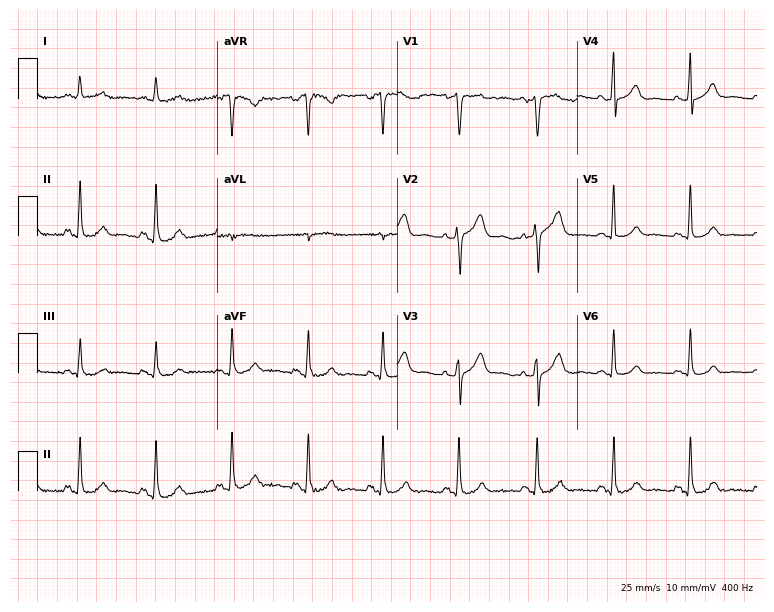
Resting 12-lead electrocardiogram (7.3-second recording at 400 Hz). Patient: a man, 54 years old. Read as a normal ECG.